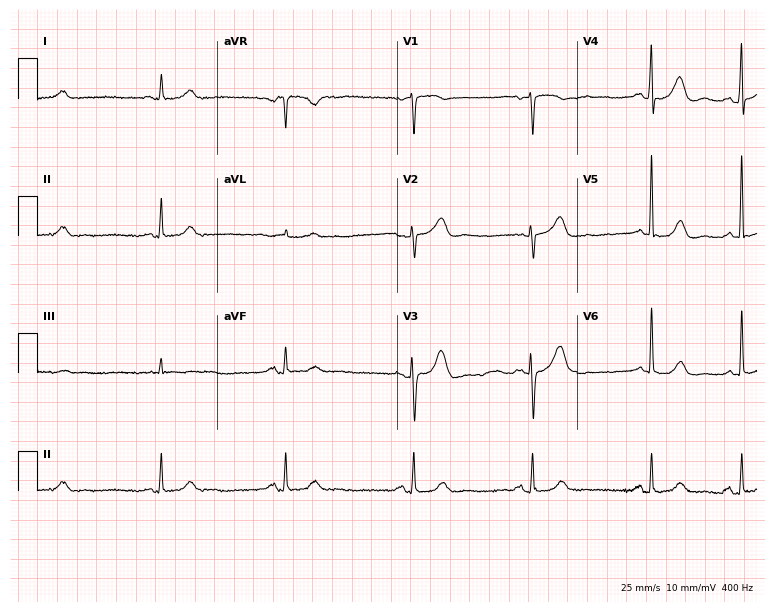
12-lead ECG from a 76-year-old female patient. No first-degree AV block, right bundle branch block (RBBB), left bundle branch block (LBBB), sinus bradycardia, atrial fibrillation (AF) or sinus tachycardia recorded for this tracing.